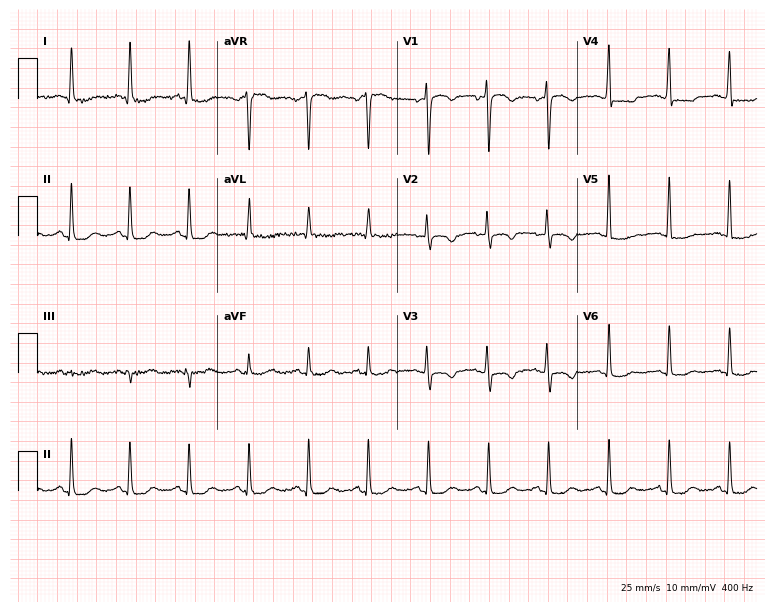
12-lead ECG from a woman, 56 years old (7.3-second recording at 400 Hz). No first-degree AV block, right bundle branch block, left bundle branch block, sinus bradycardia, atrial fibrillation or sinus tachycardia recorded for this tracing.